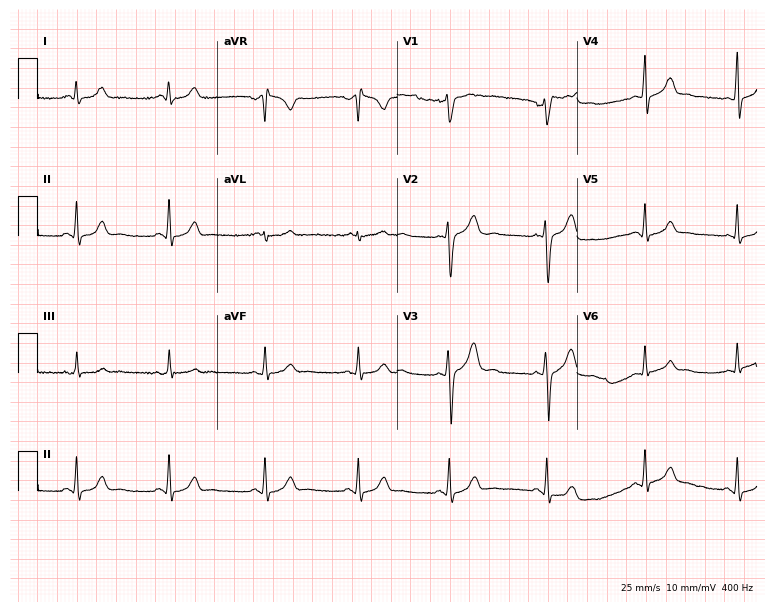
Resting 12-lead electrocardiogram (7.3-second recording at 400 Hz). Patient: a female, 25 years old. Read as a normal ECG.